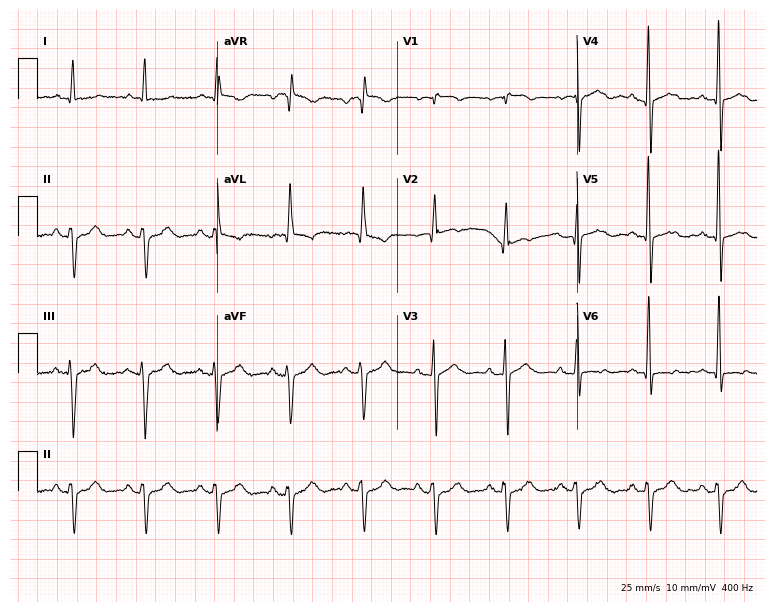
Standard 12-lead ECG recorded from a man, 83 years old (7.3-second recording at 400 Hz). None of these six findings is recorded: first-degree AV block, right bundle branch block, left bundle branch block, sinus bradycardia, atrial fibrillation, sinus tachycardia. Other findings, if any, are not listed.